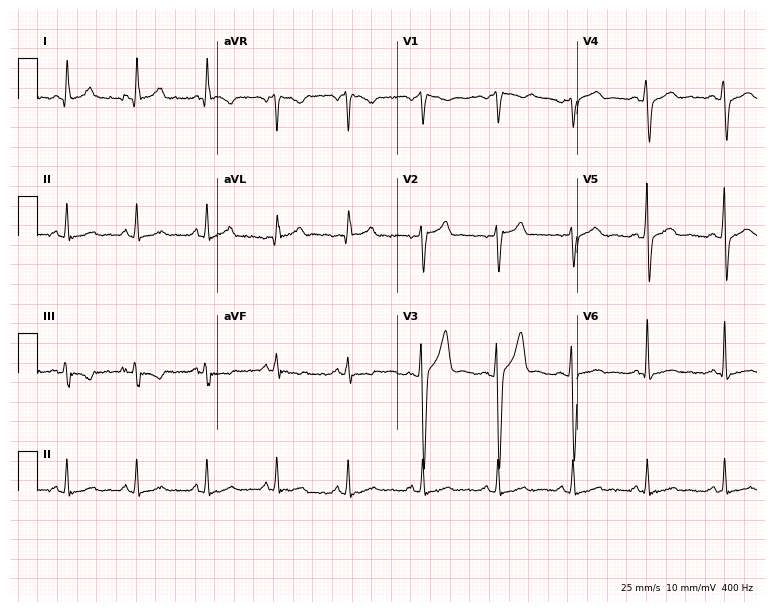
Standard 12-lead ECG recorded from a 31-year-old man. Read as a normal ECG.